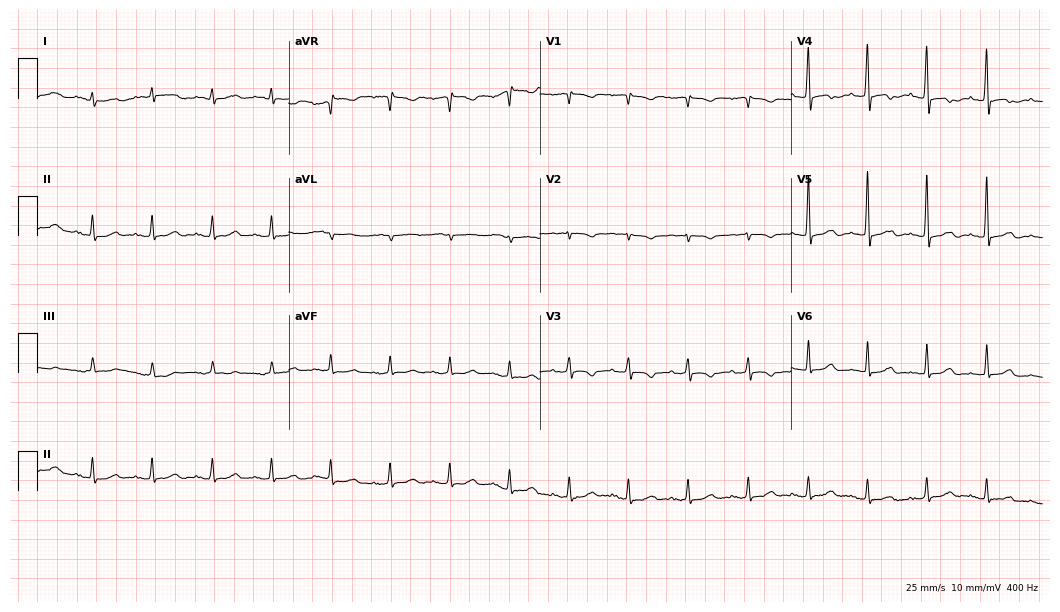
12-lead ECG from a woman, 81 years old (10.2-second recording at 400 Hz). No first-degree AV block, right bundle branch block, left bundle branch block, sinus bradycardia, atrial fibrillation or sinus tachycardia recorded for this tracing. Only these six findings were labelled.